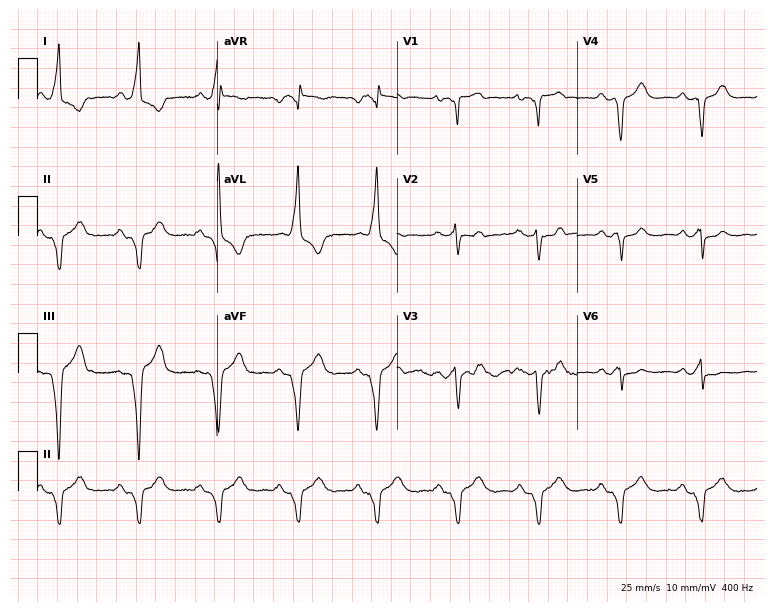
Resting 12-lead electrocardiogram. Patient: a female, 51 years old. None of these six findings is recorded: first-degree AV block, right bundle branch block, left bundle branch block, sinus bradycardia, atrial fibrillation, sinus tachycardia.